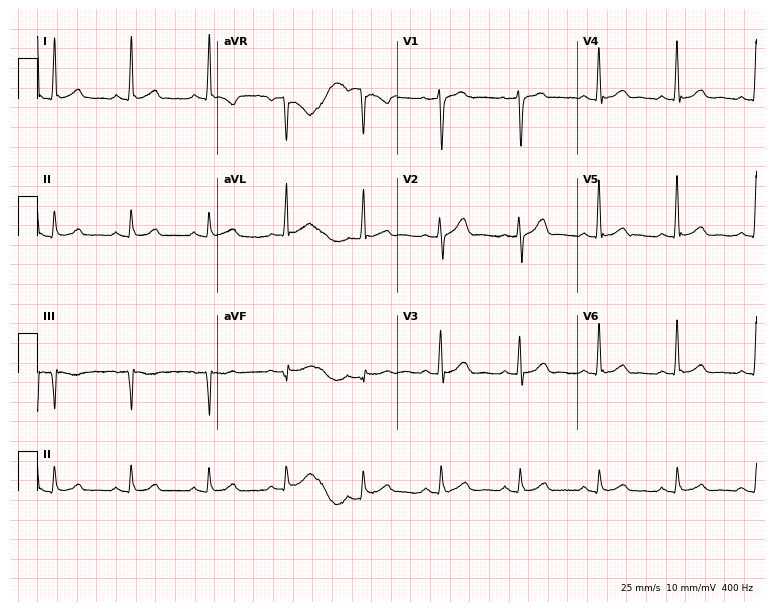
Electrocardiogram (7.3-second recording at 400 Hz), a 60-year-old man. Overall reading on record: normal ECG.